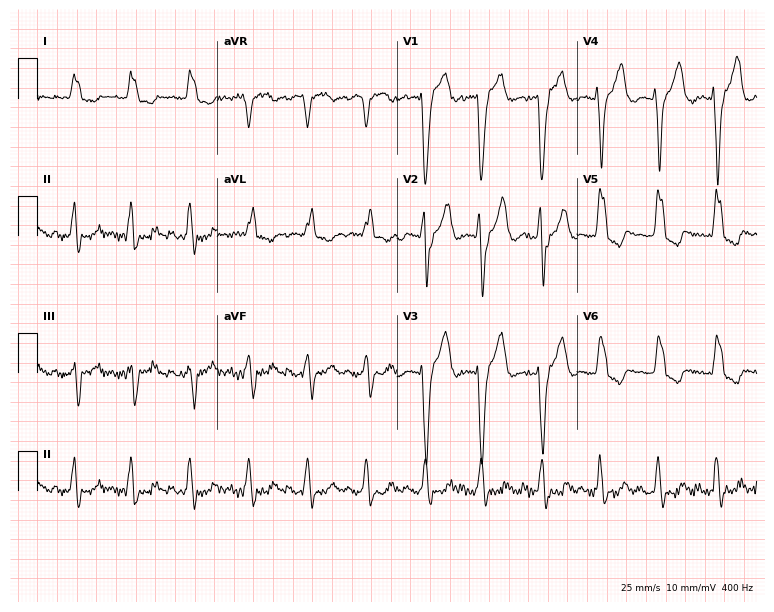
12-lead ECG (7.3-second recording at 400 Hz) from a female, 82 years old. Findings include left bundle branch block.